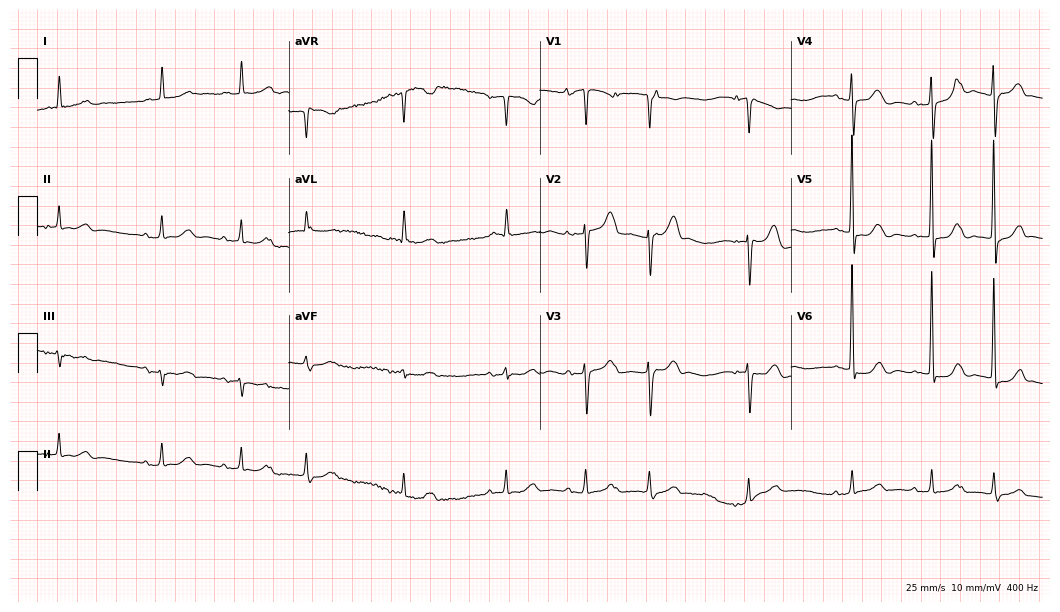
12-lead ECG from a woman, 86 years old (10.2-second recording at 400 Hz). Recorded interpretation: within normal limits.